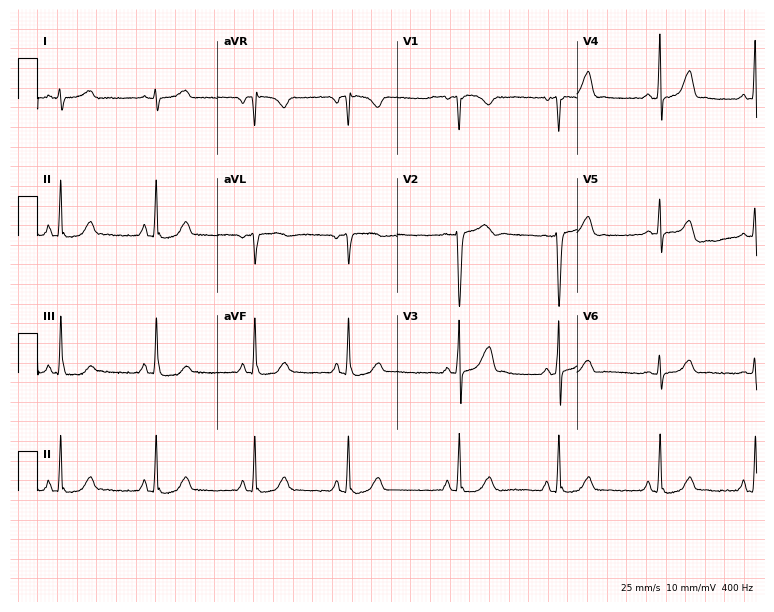
Electrocardiogram (7.3-second recording at 400 Hz), a female, 31 years old. Overall reading on record: normal ECG.